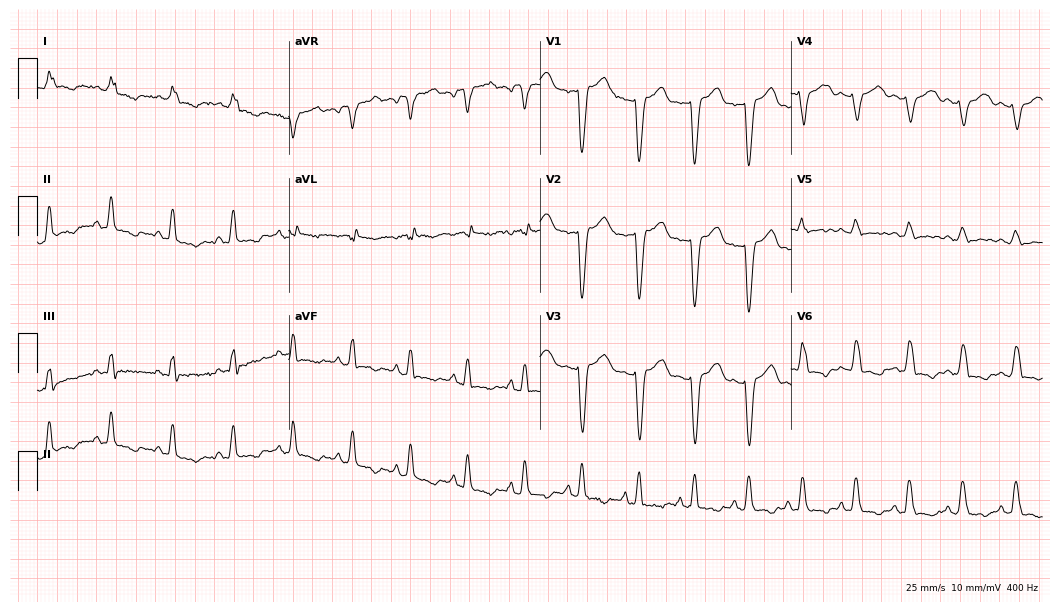
ECG (10.2-second recording at 400 Hz) — a woman, 51 years old. Screened for six findings — first-degree AV block, right bundle branch block, left bundle branch block, sinus bradycardia, atrial fibrillation, sinus tachycardia — none is recorded. Findings outside these six are not listed.